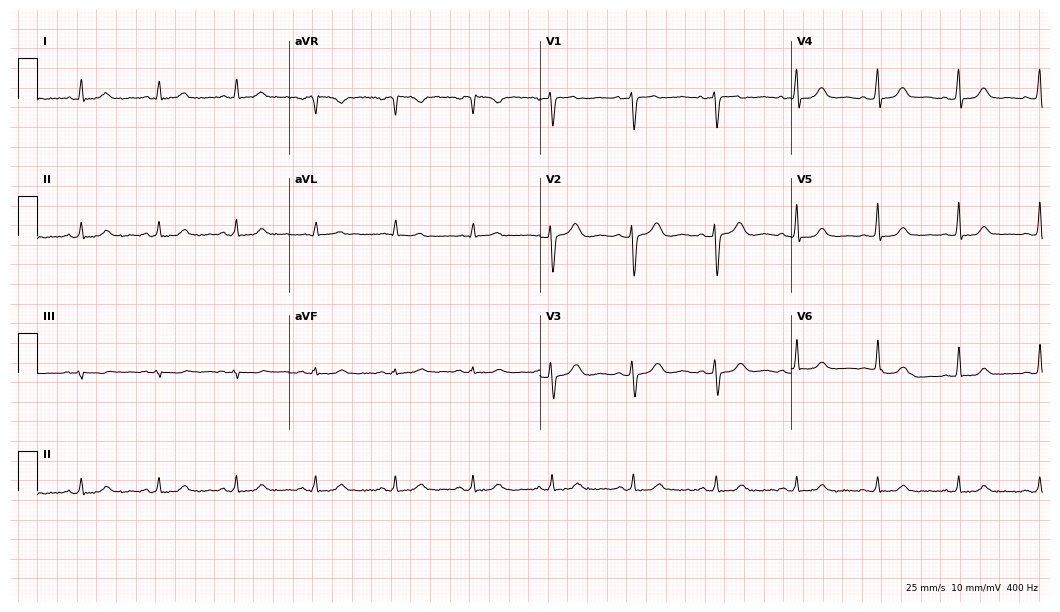
ECG (10.2-second recording at 400 Hz) — a female, 41 years old. Labelled as a normal ECG.